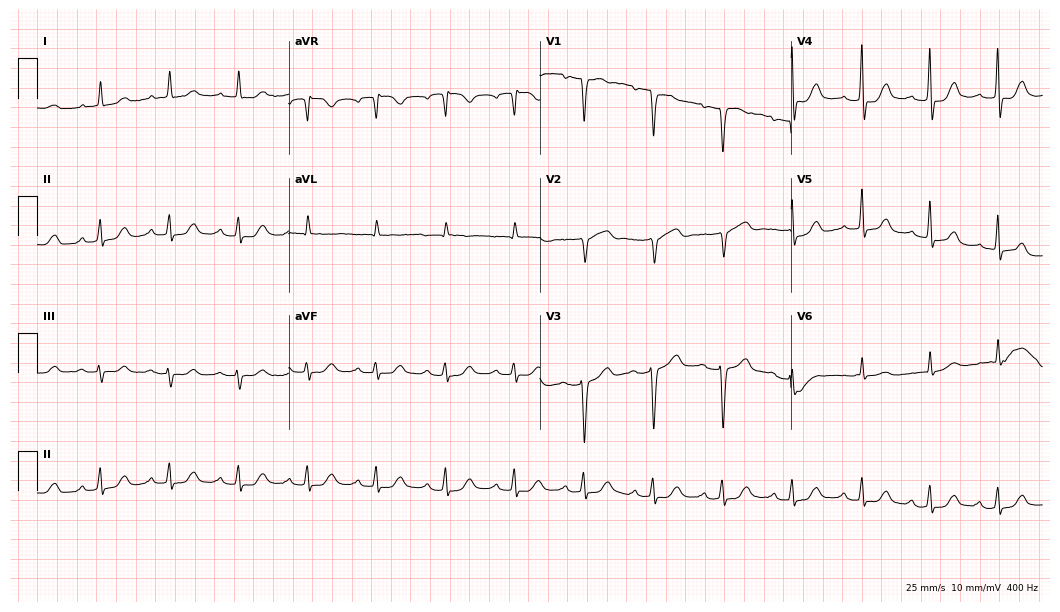
Resting 12-lead electrocardiogram. Patient: an 85-year-old female. None of these six findings is recorded: first-degree AV block, right bundle branch block, left bundle branch block, sinus bradycardia, atrial fibrillation, sinus tachycardia. Findings outside these six are not listed.